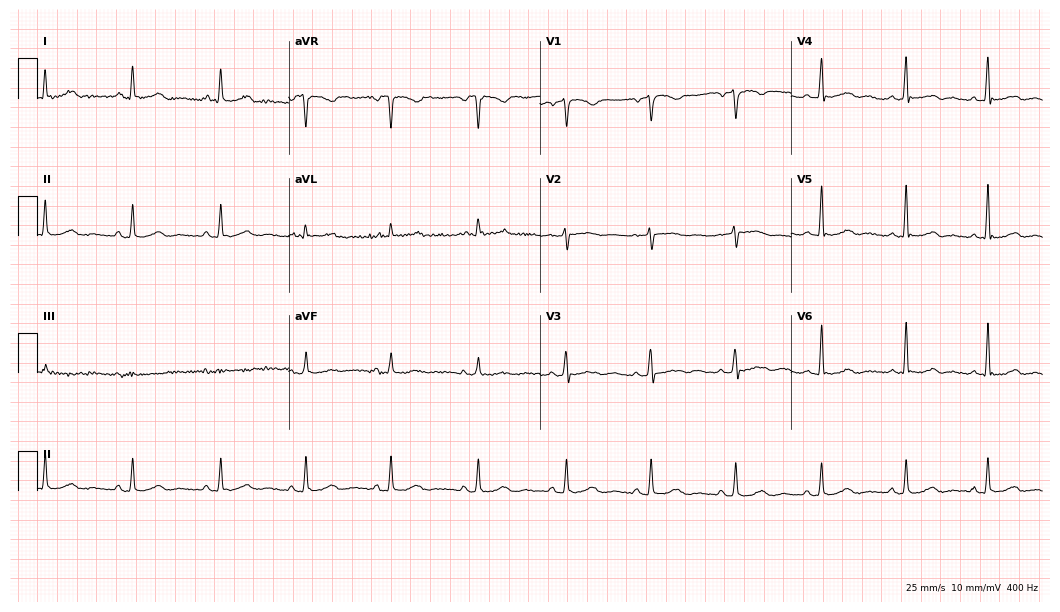
12-lead ECG from a 62-year-old female patient (10.2-second recording at 400 Hz). No first-degree AV block, right bundle branch block (RBBB), left bundle branch block (LBBB), sinus bradycardia, atrial fibrillation (AF) or sinus tachycardia recorded for this tracing.